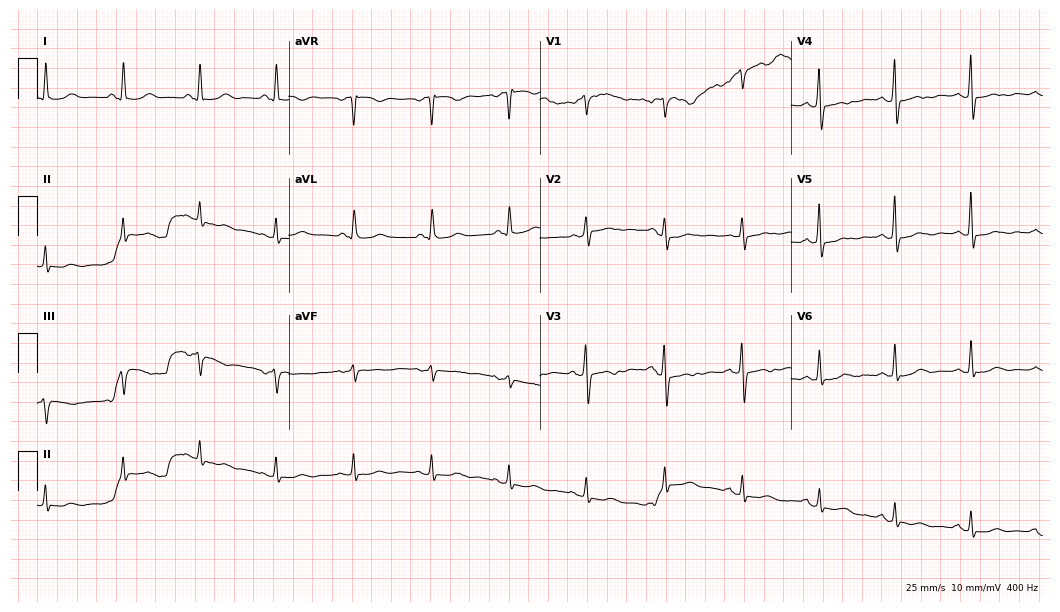
12-lead ECG from a 70-year-old woman. No first-degree AV block, right bundle branch block (RBBB), left bundle branch block (LBBB), sinus bradycardia, atrial fibrillation (AF) or sinus tachycardia recorded for this tracing. Other findings, if any, are not listed.